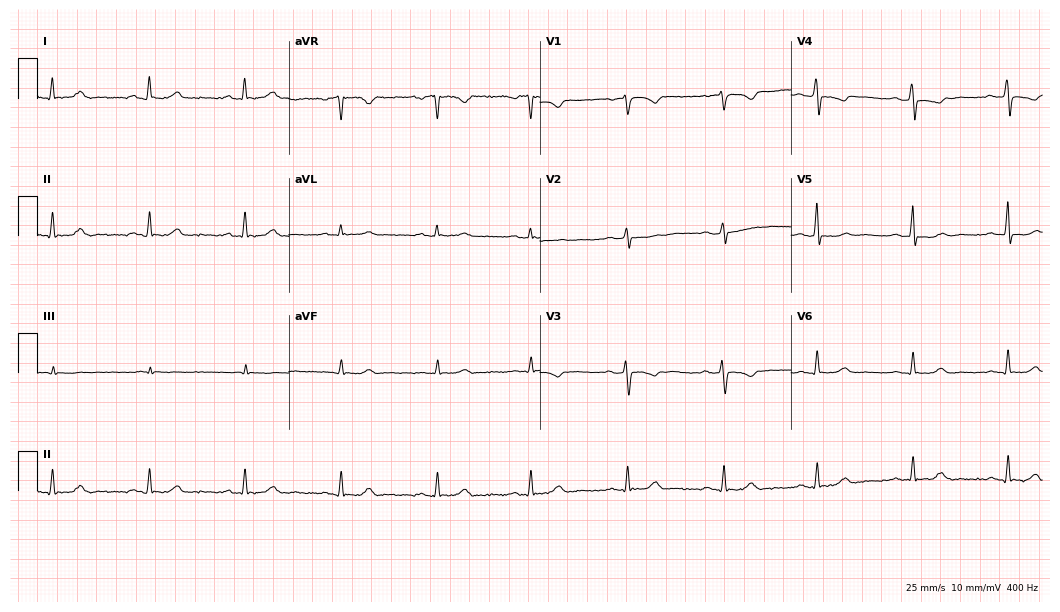
12-lead ECG from a 50-year-old woman (10.2-second recording at 400 Hz). No first-degree AV block, right bundle branch block, left bundle branch block, sinus bradycardia, atrial fibrillation or sinus tachycardia recorded for this tracing.